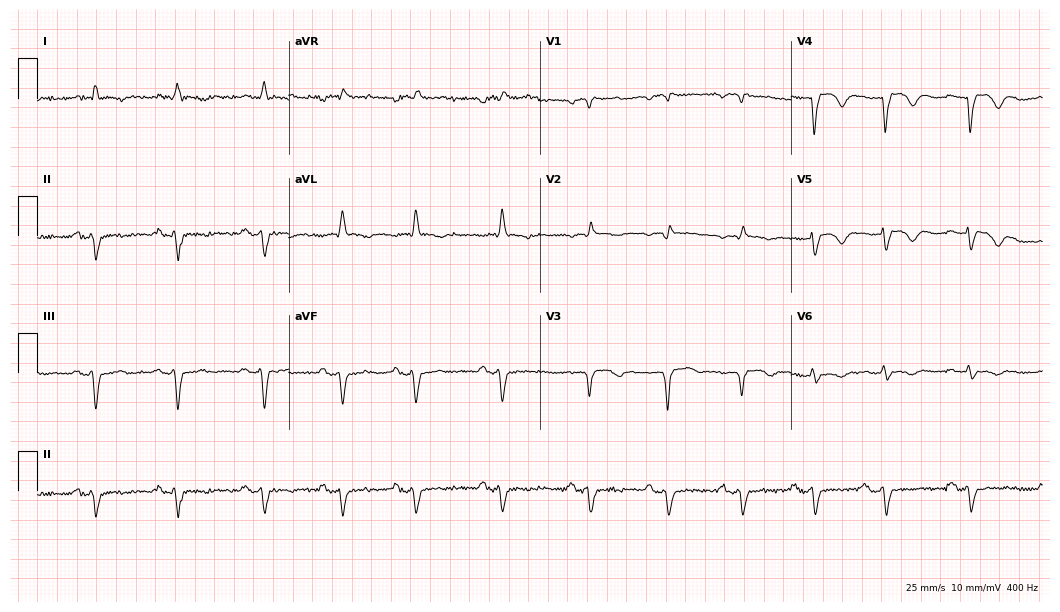
ECG — a female, 58 years old. Screened for six findings — first-degree AV block, right bundle branch block (RBBB), left bundle branch block (LBBB), sinus bradycardia, atrial fibrillation (AF), sinus tachycardia — none is recorded.